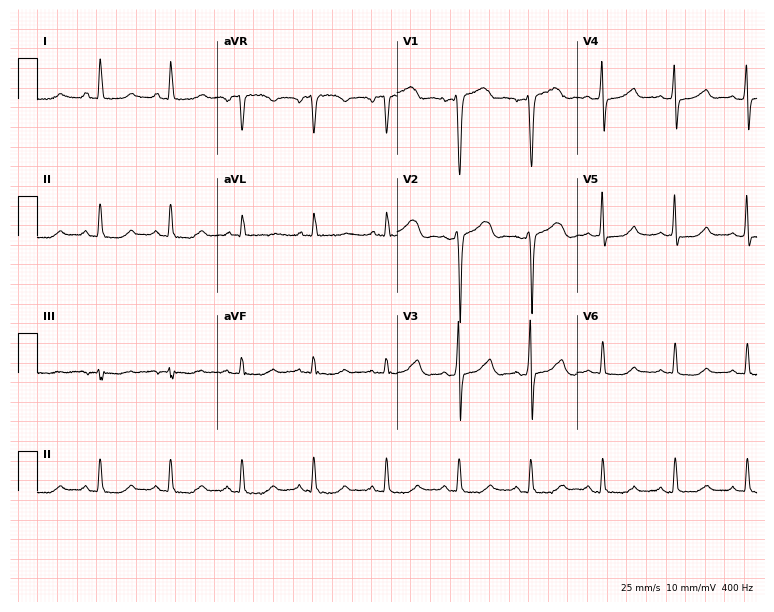
ECG — a 49-year-old female patient. Labelled as a normal ECG.